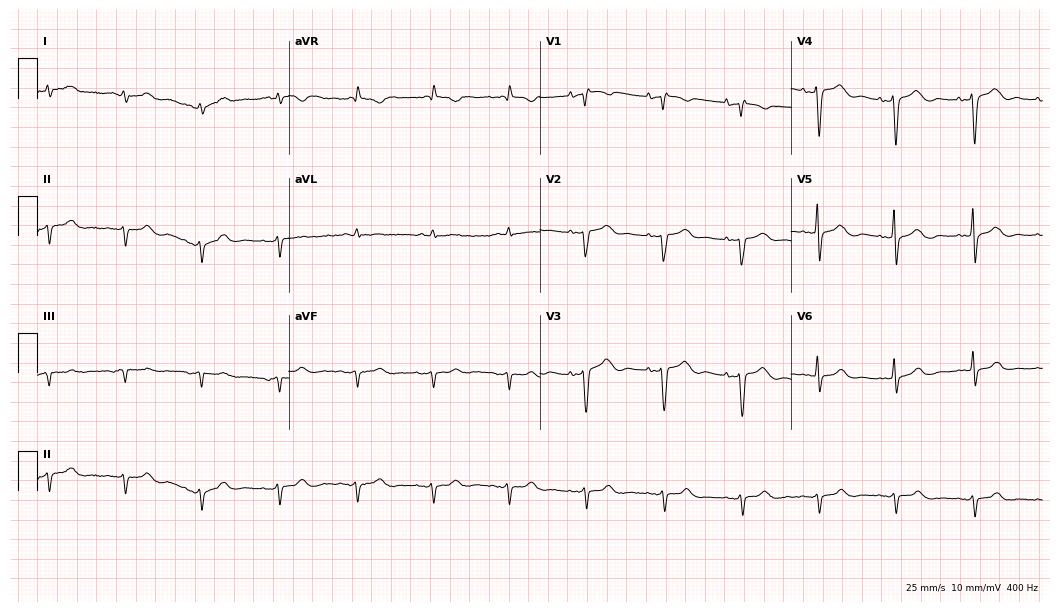
12-lead ECG from a 67-year-old woman (10.2-second recording at 400 Hz). No first-degree AV block, right bundle branch block, left bundle branch block, sinus bradycardia, atrial fibrillation or sinus tachycardia recorded for this tracing. Only these six findings were labelled.